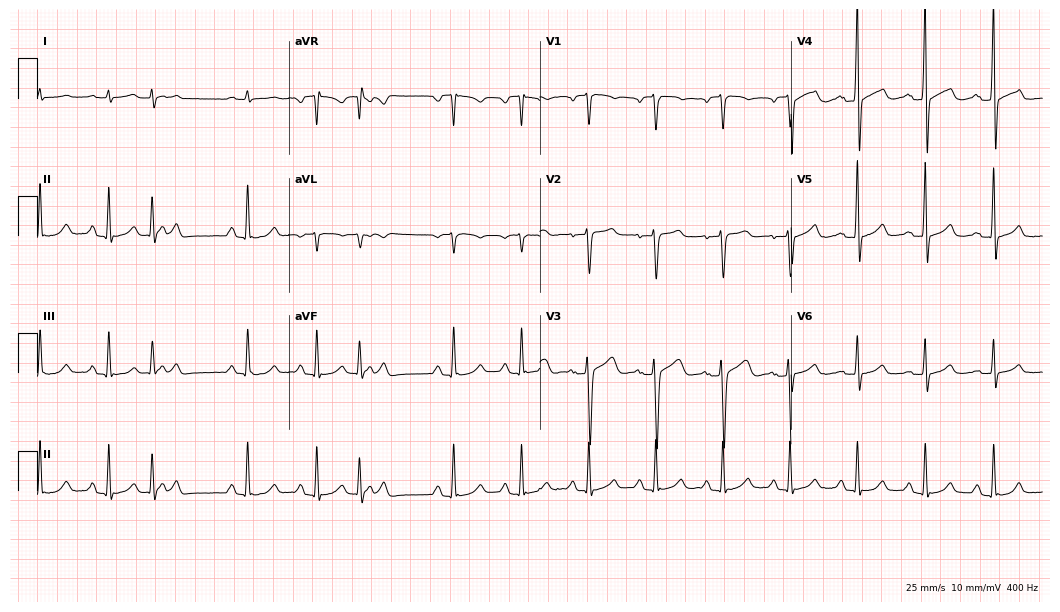
Resting 12-lead electrocardiogram (10.2-second recording at 400 Hz). Patient: a male, 66 years old. None of these six findings is recorded: first-degree AV block, right bundle branch block, left bundle branch block, sinus bradycardia, atrial fibrillation, sinus tachycardia.